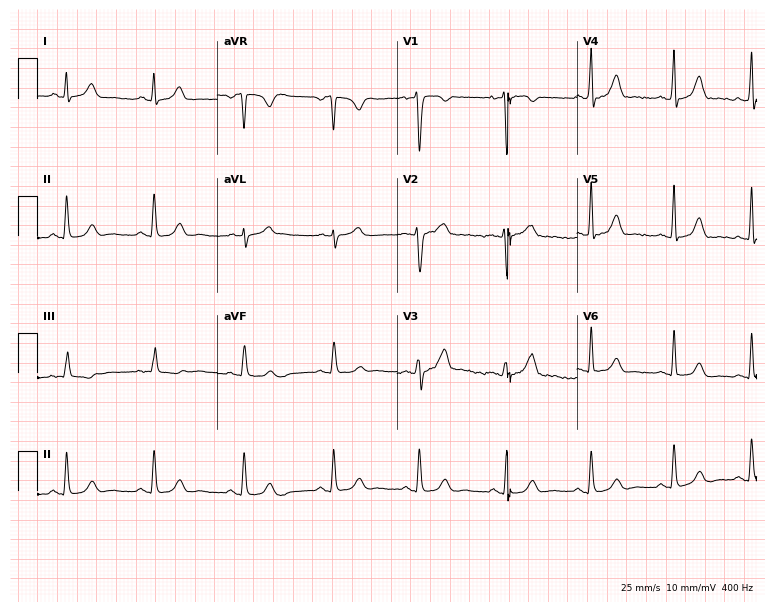
Electrocardiogram (7.3-second recording at 400 Hz), a female patient, 31 years old. Of the six screened findings (first-degree AV block, right bundle branch block, left bundle branch block, sinus bradycardia, atrial fibrillation, sinus tachycardia), none is recorded. Other findings, if any, are not listed.